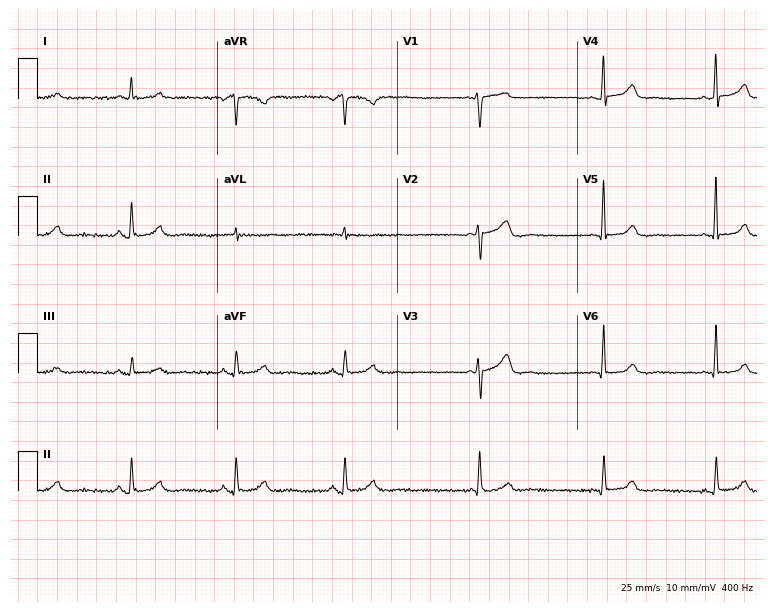
Standard 12-lead ECG recorded from a 47-year-old woman (7.3-second recording at 400 Hz). Read as a normal ECG.